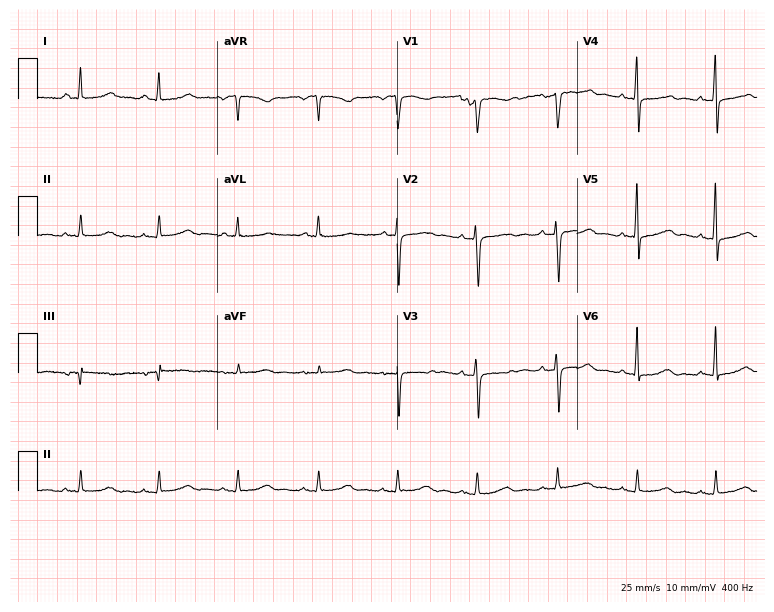
12-lead ECG (7.3-second recording at 400 Hz) from a 60-year-old woman. Labelled as a normal ECG.